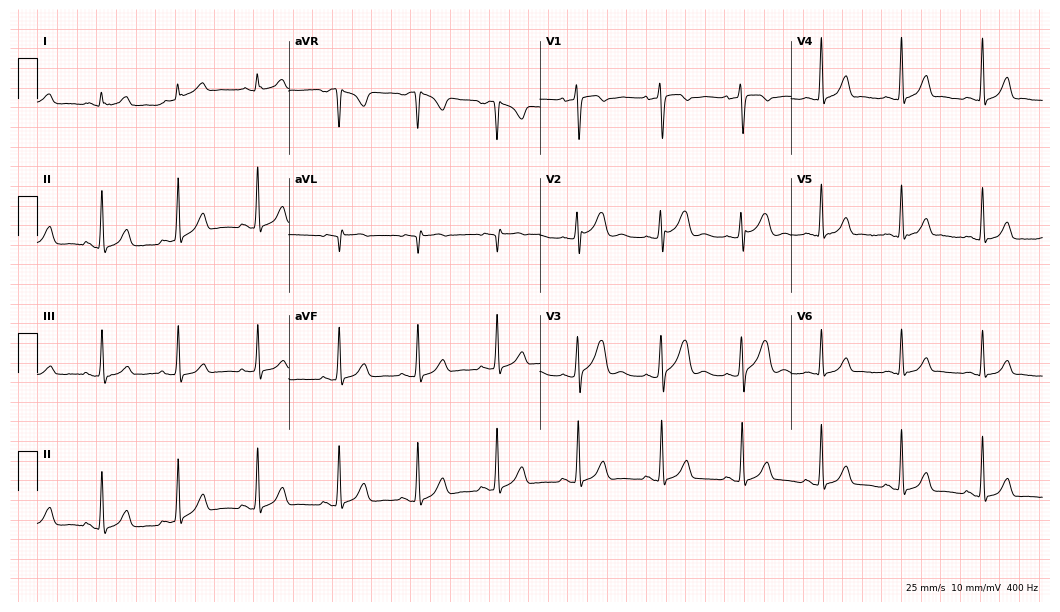
Resting 12-lead electrocardiogram (10.2-second recording at 400 Hz). Patient: a 33-year-old woman. None of these six findings is recorded: first-degree AV block, right bundle branch block, left bundle branch block, sinus bradycardia, atrial fibrillation, sinus tachycardia. Other findings, if any, are not listed.